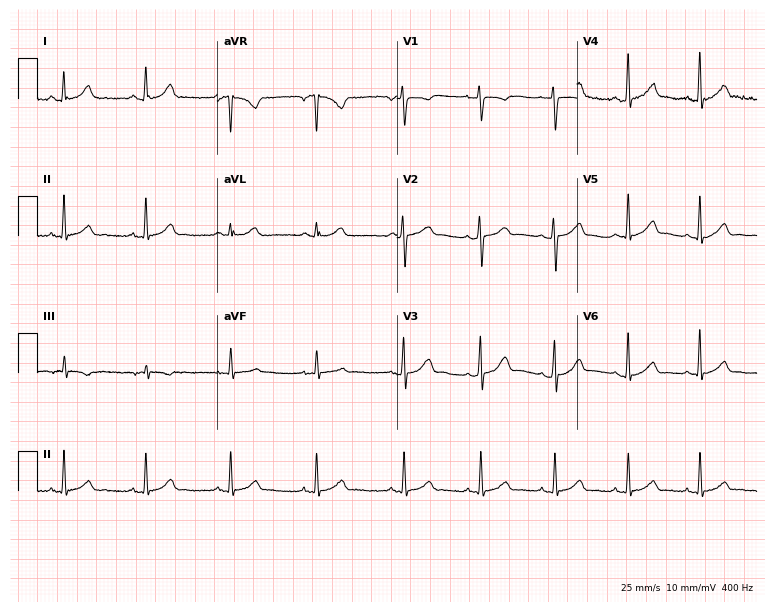
ECG (7.3-second recording at 400 Hz) — a 25-year-old woman. Labelled as a normal ECG.